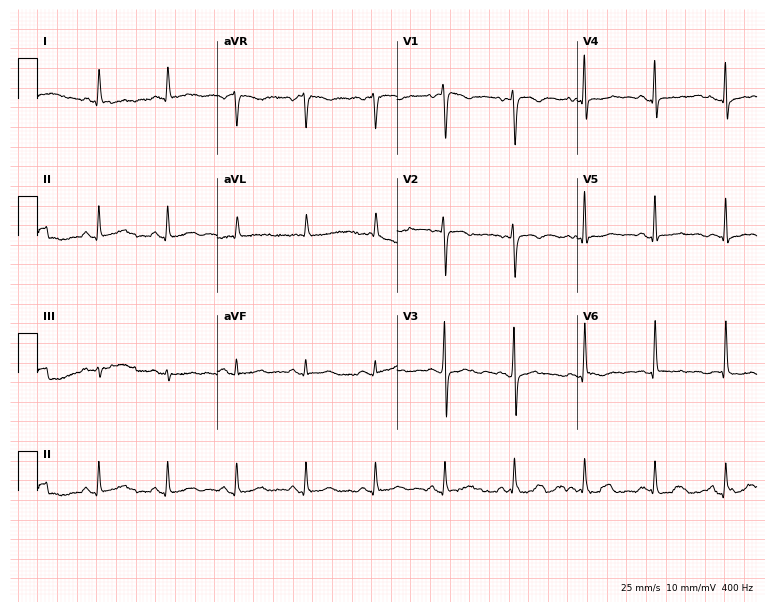
Resting 12-lead electrocardiogram (7.3-second recording at 400 Hz). Patient: a 77-year-old female. None of these six findings is recorded: first-degree AV block, right bundle branch block, left bundle branch block, sinus bradycardia, atrial fibrillation, sinus tachycardia.